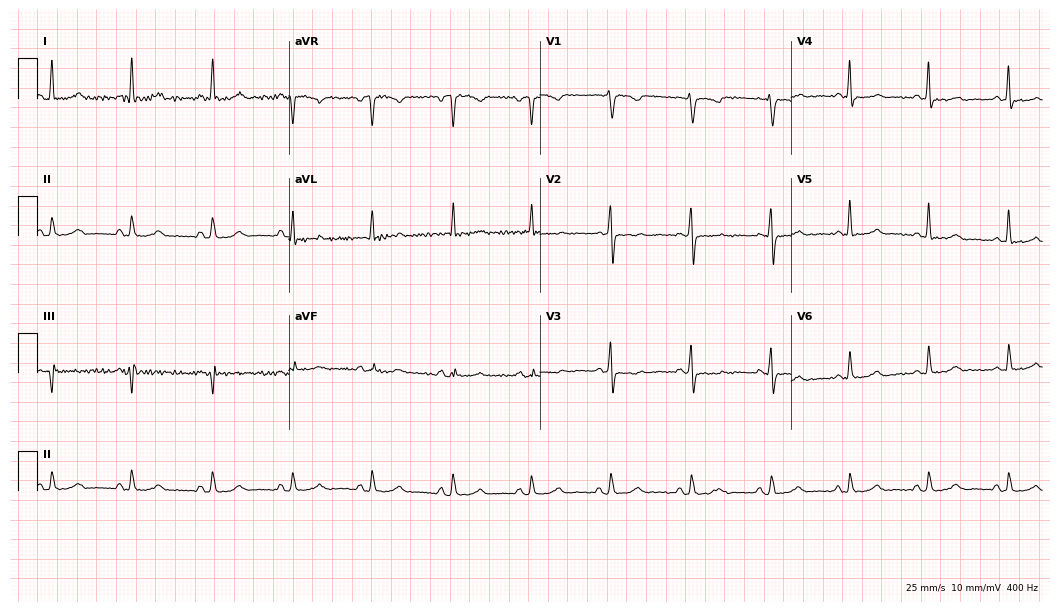
Resting 12-lead electrocardiogram. Patient: a 68-year-old woman. None of these six findings is recorded: first-degree AV block, right bundle branch block, left bundle branch block, sinus bradycardia, atrial fibrillation, sinus tachycardia.